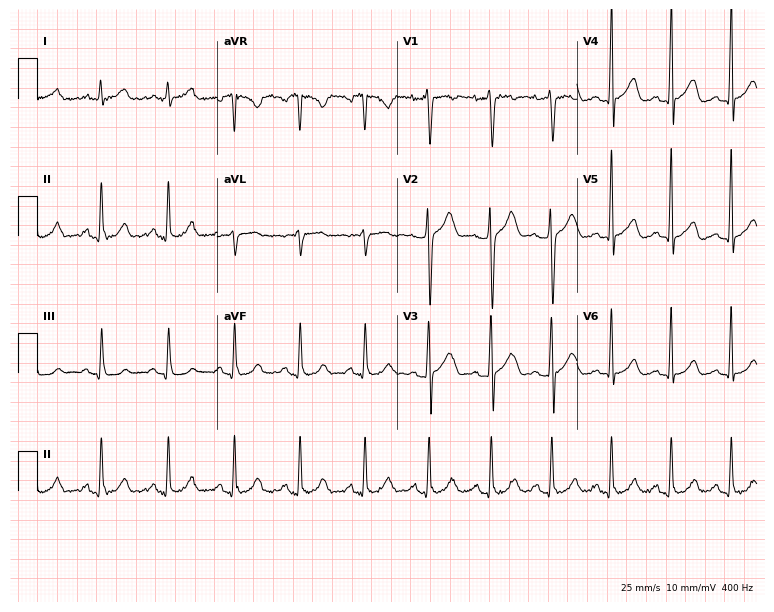
12-lead ECG (7.3-second recording at 400 Hz) from a 33-year-old man. Labelled as a normal ECG.